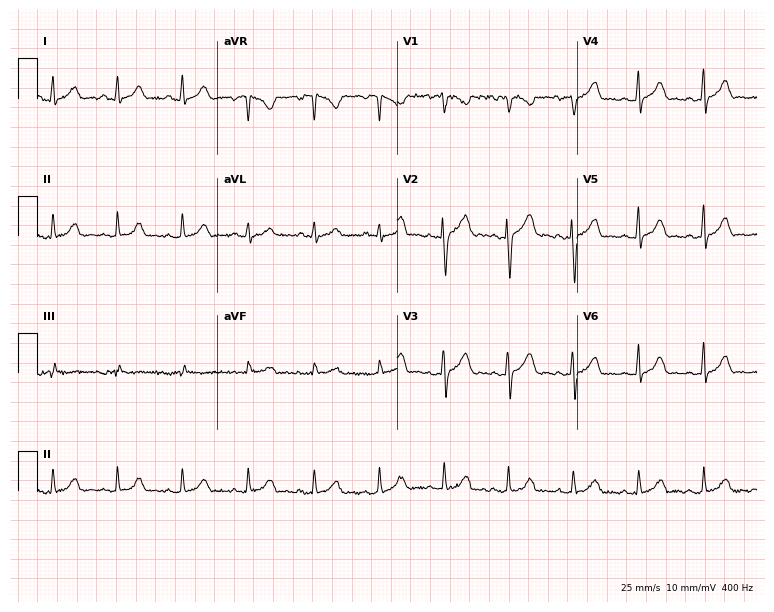
12-lead ECG from a woman, 24 years old. Recorded interpretation: within normal limits.